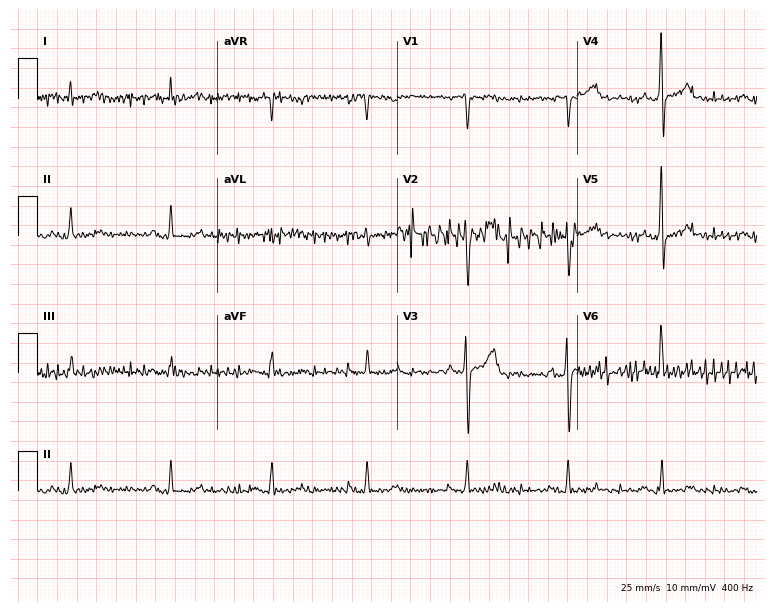
12-lead ECG from a 34-year-old male patient. No first-degree AV block, right bundle branch block (RBBB), left bundle branch block (LBBB), sinus bradycardia, atrial fibrillation (AF) or sinus tachycardia recorded for this tracing.